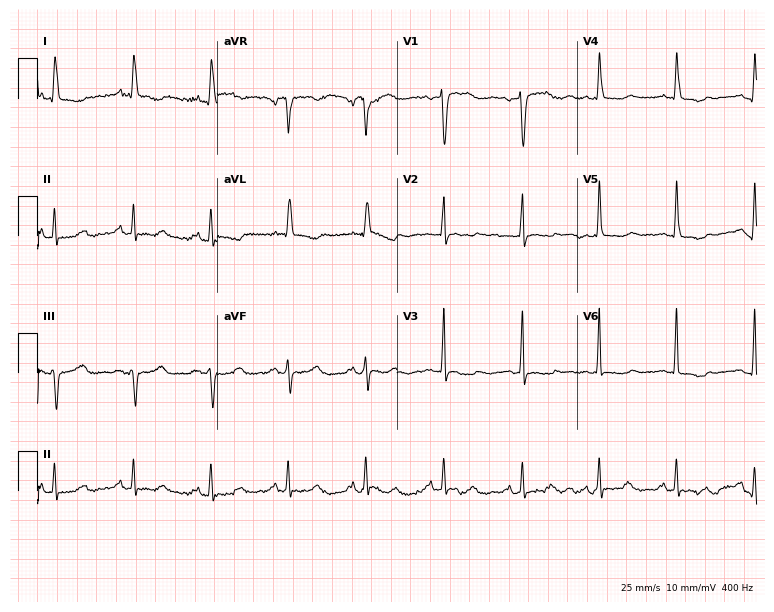
Standard 12-lead ECG recorded from a 73-year-old female. None of these six findings is recorded: first-degree AV block, right bundle branch block, left bundle branch block, sinus bradycardia, atrial fibrillation, sinus tachycardia. Other findings, if any, are not listed.